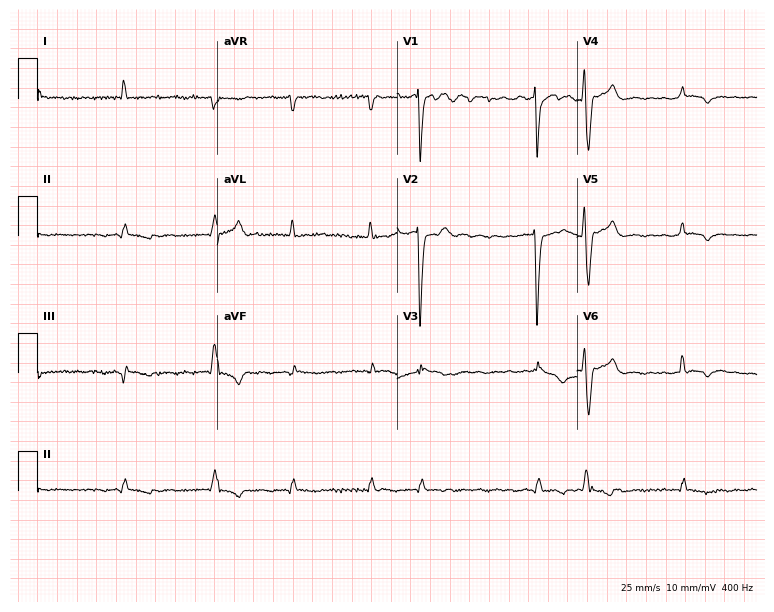
12-lead ECG (7.3-second recording at 400 Hz) from a female, 84 years old. Findings include atrial fibrillation.